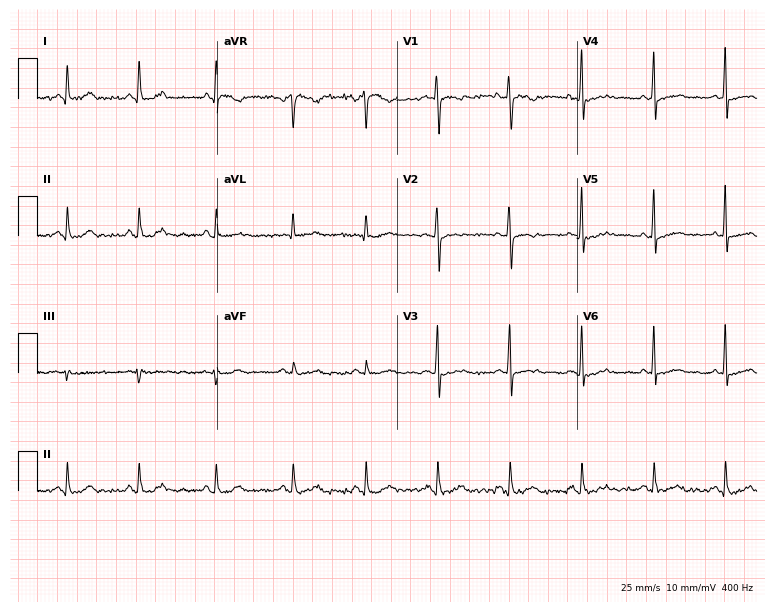
12-lead ECG from a female, 52 years old. Recorded interpretation: within normal limits.